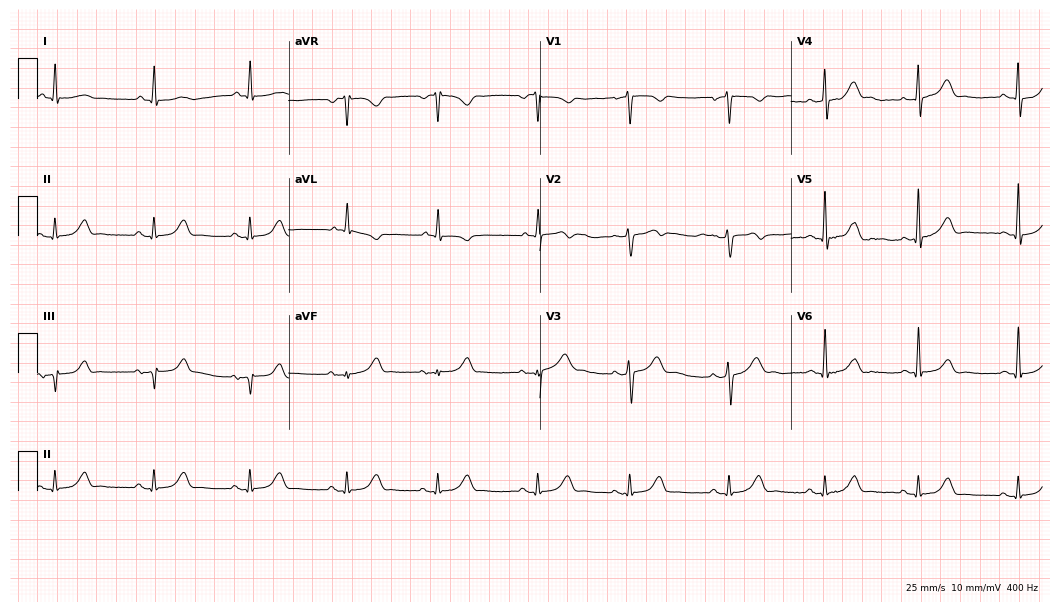
Electrocardiogram, a 70-year-old male. Overall reading on record: normal ECG.